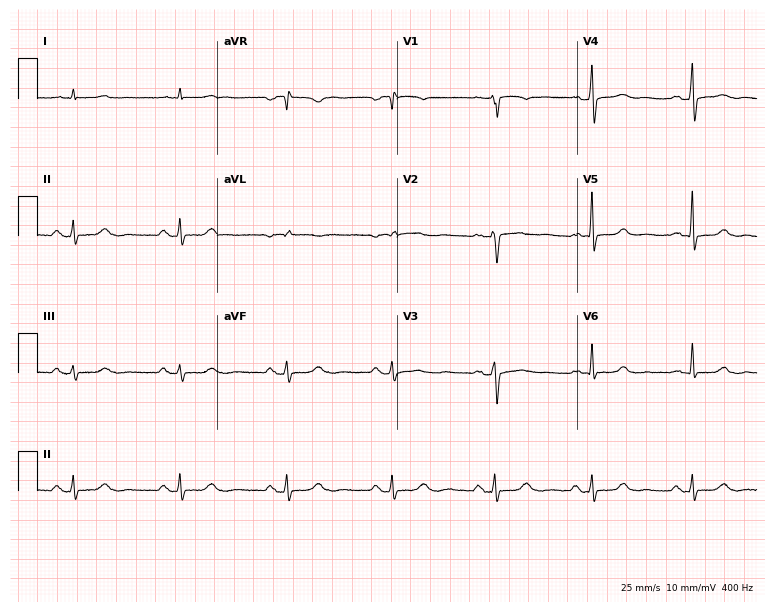
Electrocardiogram (7.3-second recording at 400 Hz), an 82-year-old male patient. Of the six screened findings (first-degree AV block, right bundle branch block (RBBB), left bundle branch block (LBBB), sinus bradycardia, atrial fibrillation (AF), sinus tachycardia), none is recorded. Findings outside these six are not listed.